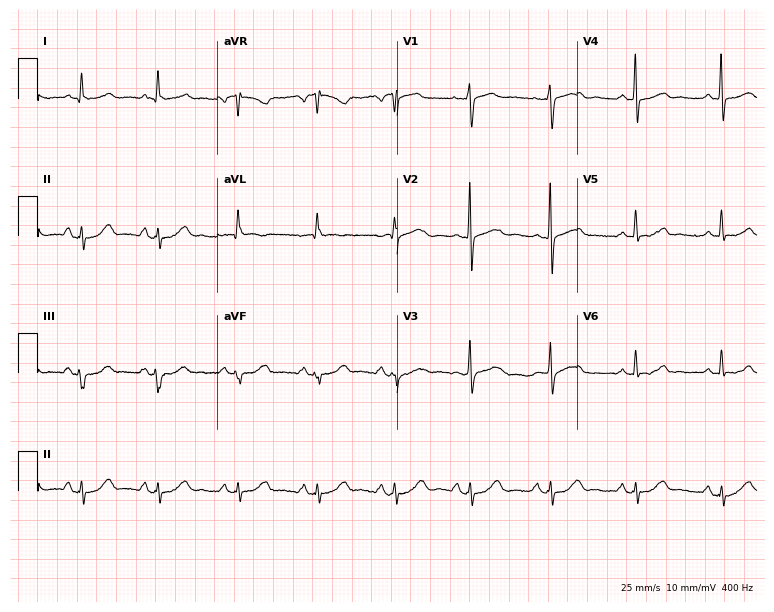
Resting 12-lead electrocardiogram (7.3-second recording at 400 Hz). Patient: a 79-year-old female. Read as a normal ECG.